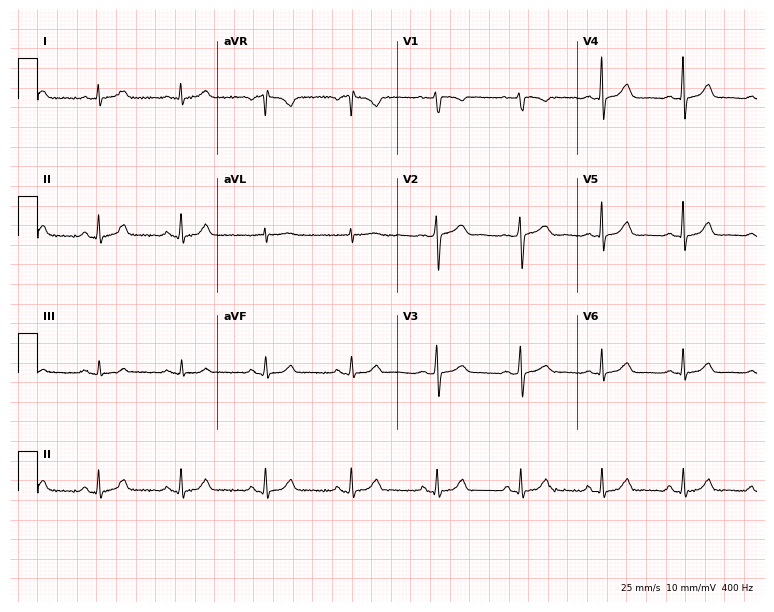
12-lead ECG from a 58-year-old female patient. Labelled as a normal ECG.